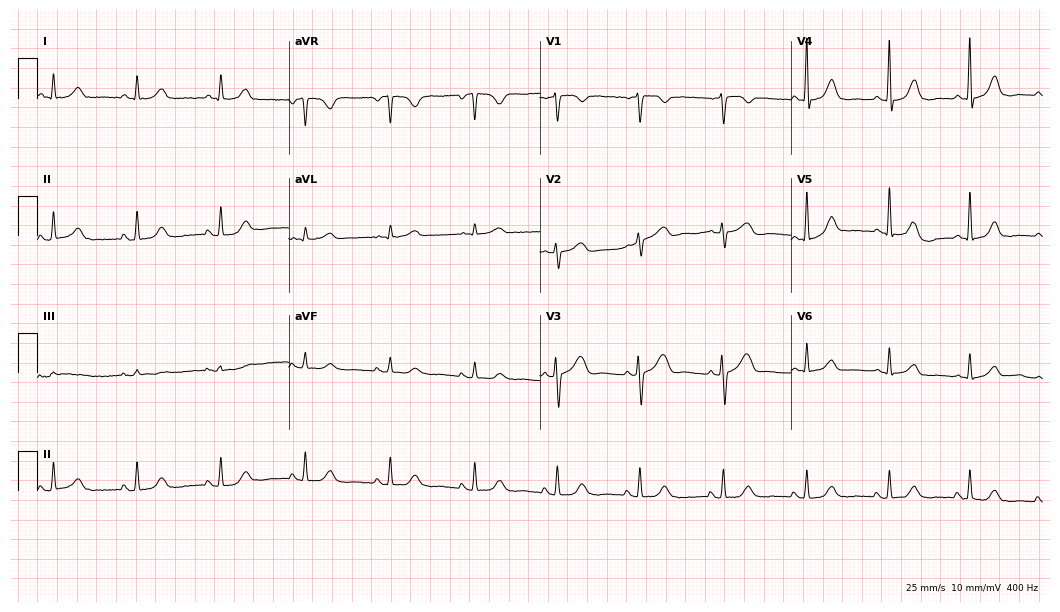
12-lead ECG from a woman, 54 years old. Labelled as a normal ECG.